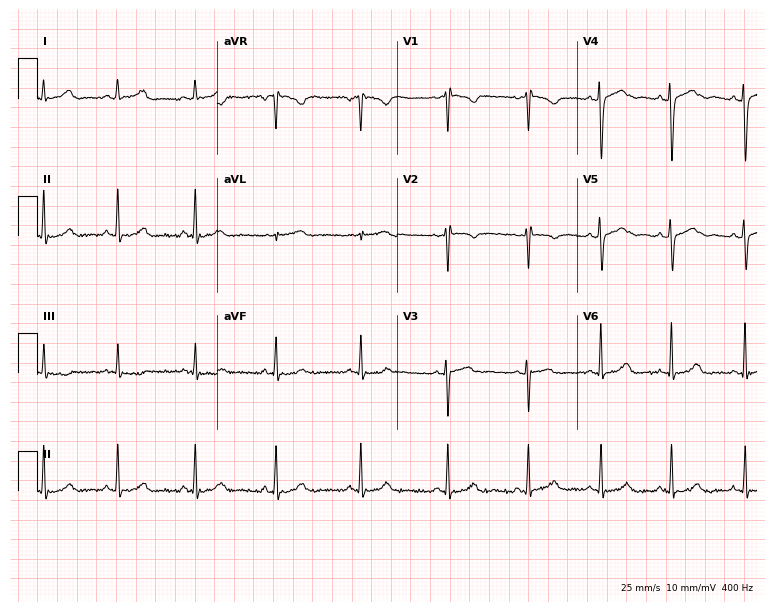
Electrocardiogram, an 18-year-old woman. Of the six screened findings (first-degree AV block, right bundle branch block (RBBB), left bundle branch block (LBBB), sinus bradycardia, atrial fibrillation (AF), sinus tachycardia), none is recorded. Only these six findings were labelled.